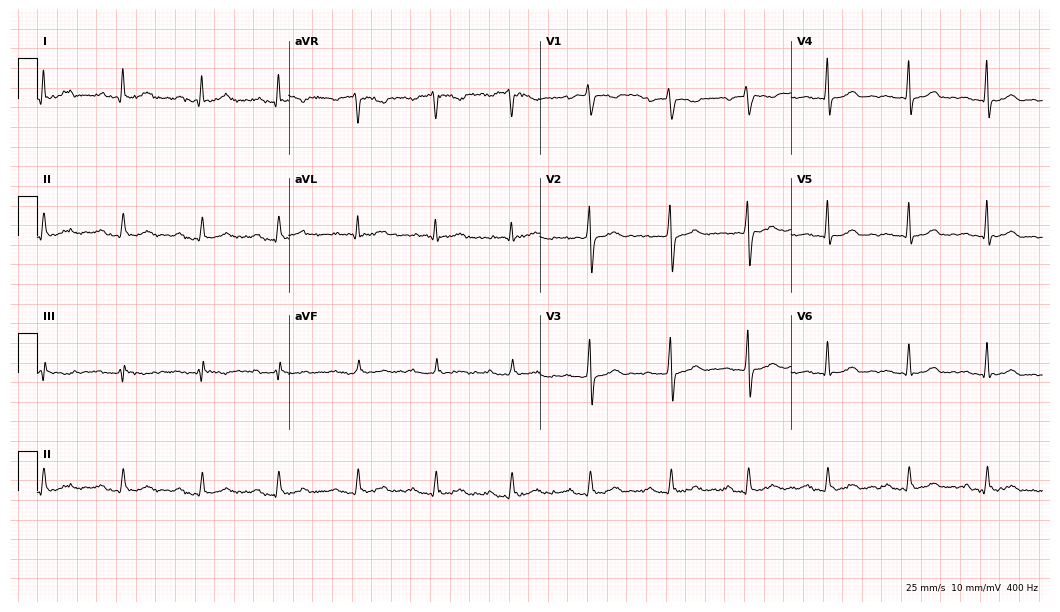
12-lead ECG from a 53-year-old man (10.2-second recording at 400 Hz). Shows first-degree AV block.